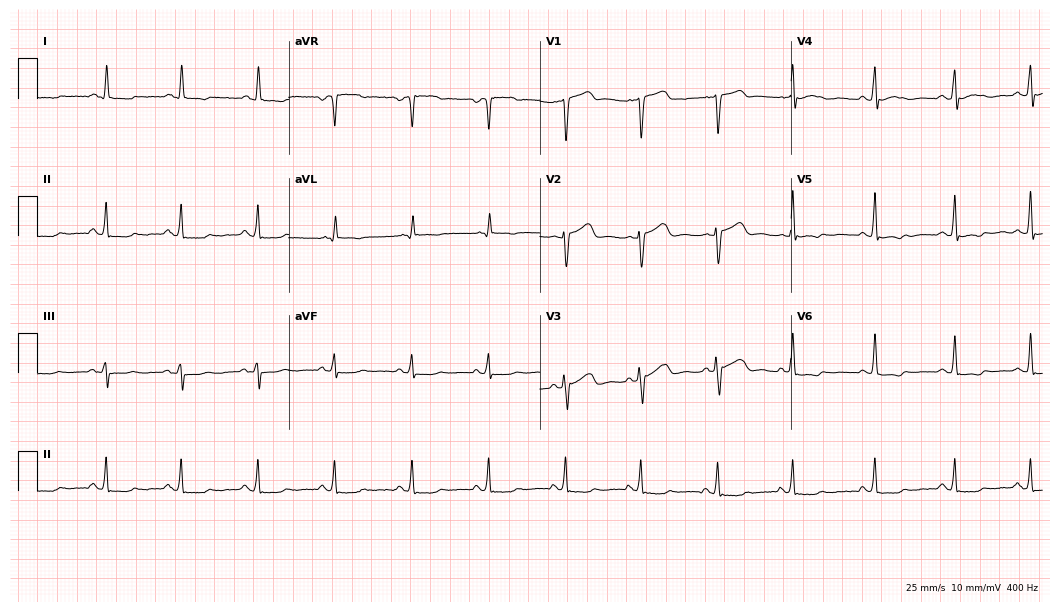
12-lead ECG from a male patient, 69 years old (10.2-second recording at 400 Hz). No first-degree AV block, right bundle branch block (RBBB), left bundle branch block (LBBB), sinus bradycardia, atrial fibrillation (AF) or sinus tachycardia recorded for this tracing. Other findings, if any, are not listed.